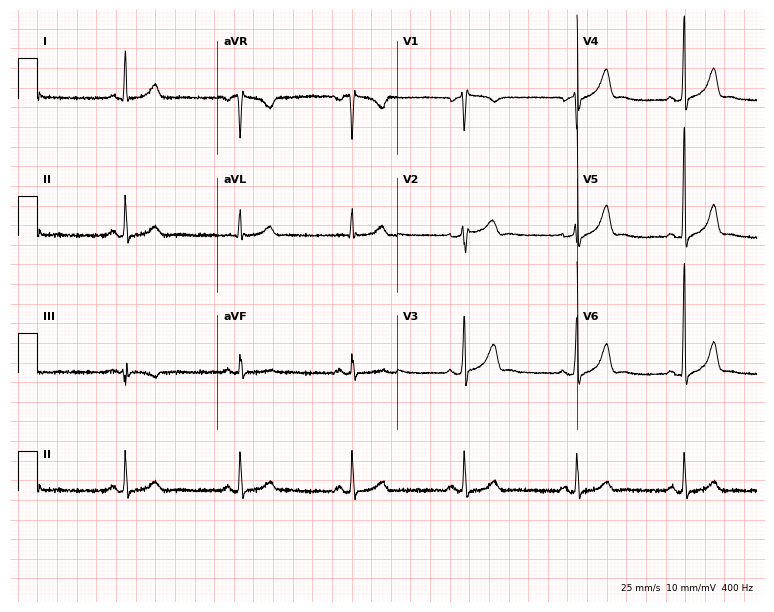
Resting 12-lead electrocardiogram. Patient: a male, 51 years old. None of these six findings is recorded: first-degree AV block, right bundle branch block (RBBB), left bundle branch block (LBBB), sinus bradycardia, atrial fibrillation (AF), sinus tachycardia.